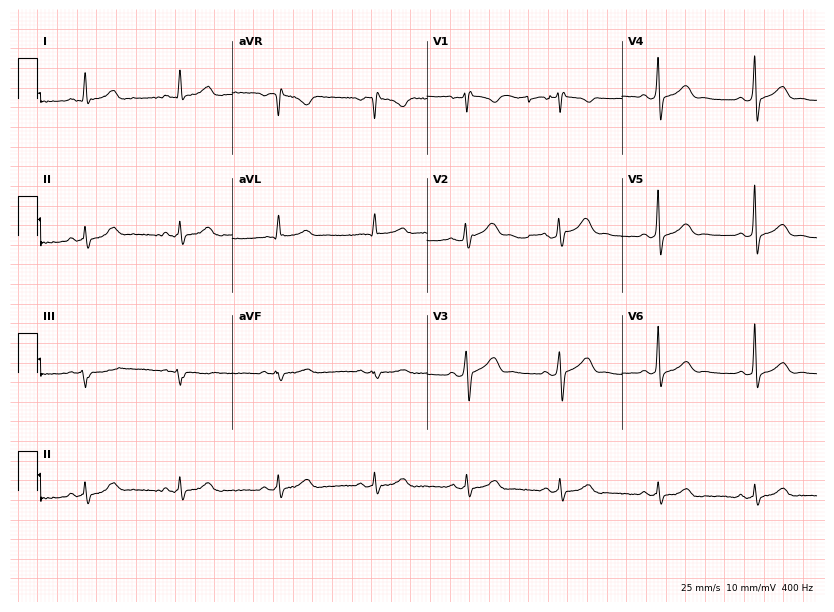
12-lead ECG from a 57-year-old male patient (7.9-second recording at 400 Hz). Recorded interpretation: within normal limits.